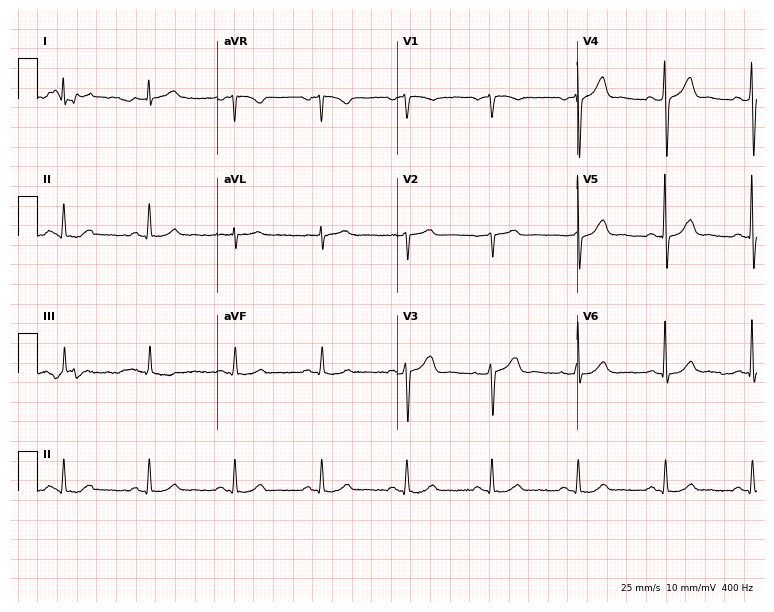
ECG — a male patient, 62 years old. Labelled as a normal ECG.